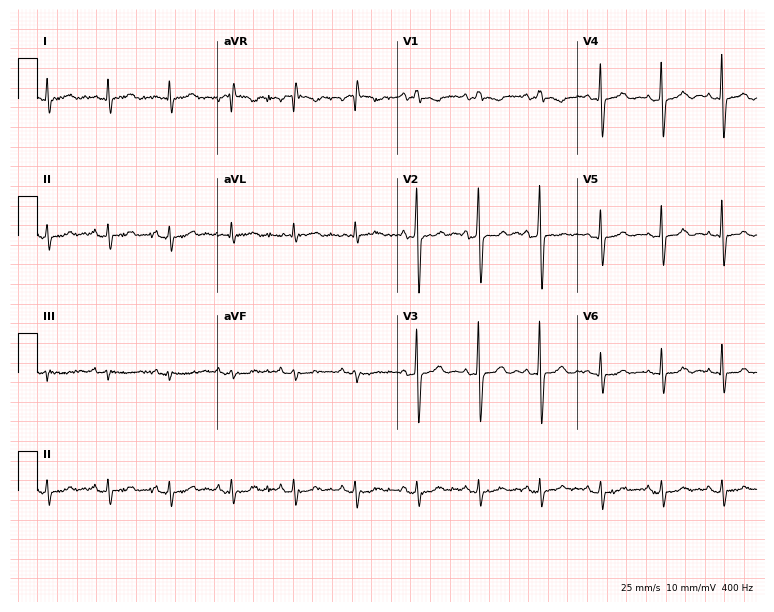
Standard 12-lead ECG recorded from a 63-year-old male (7.3-second recording at 400 Hz). None of these six findings is recorded: first-degree AV block, right bundle branch block, left bundle branch block, sinus bradycardia, atrial fibrillation, sinus tachycardia. Other findings, if any, are not listed.